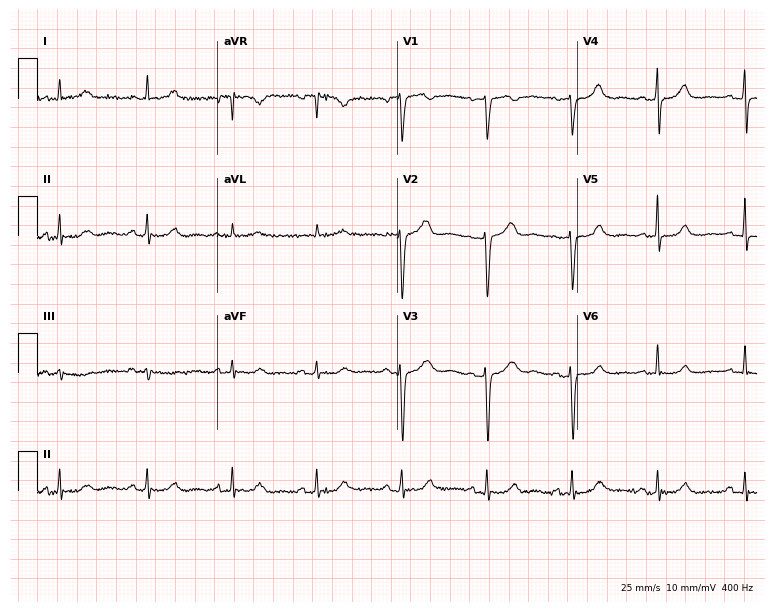
Resting 12-lead electrocardiogram. Patient: a 70-year-old female. None of these six findings is recorded: first-degree AV block, right bundle branch block, left bundle branch block, sinus bradycardia, atrial fibrillation, sinus tachycardia. Findings outside these six are not listed.